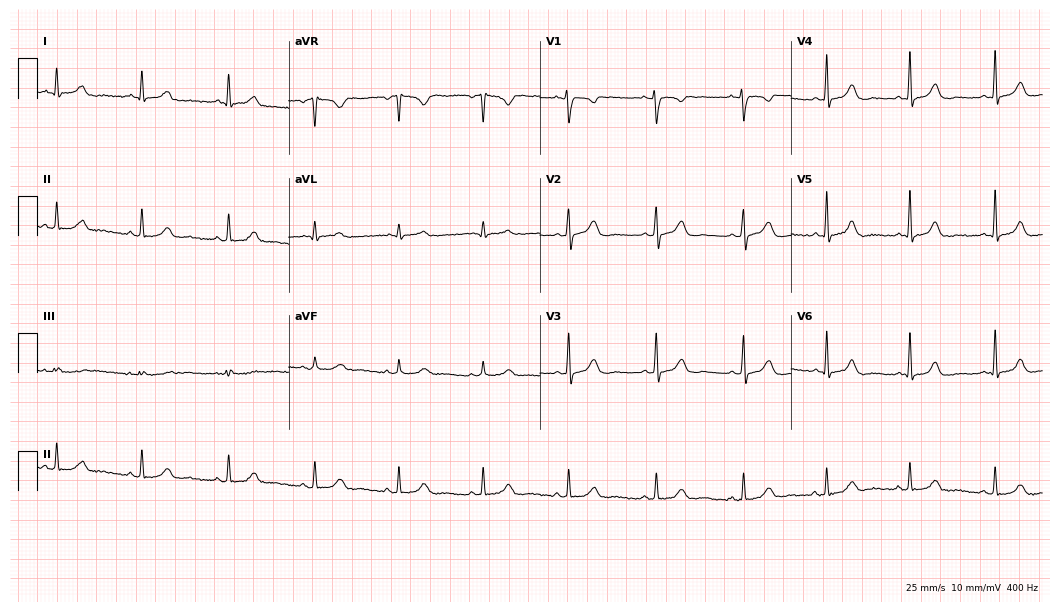
12-lead ECG (10.2-second recording at 400 Hz) from a female, 41 years old. Labelled as a normal ECG.